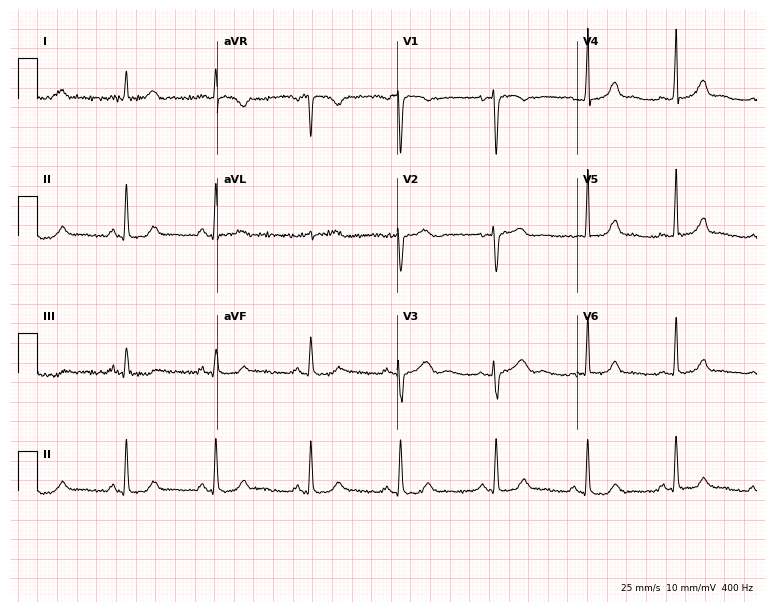
Resting 12-lead electrocardiogram. Patient: a 39-year-old female. None of these six findings is recorded: first-degree AV block, right bundle branch block, left bundle branch block, sinus bradycardia, atrial fibrillation, sinus tachycardia. Other findings, if any, are not listed.